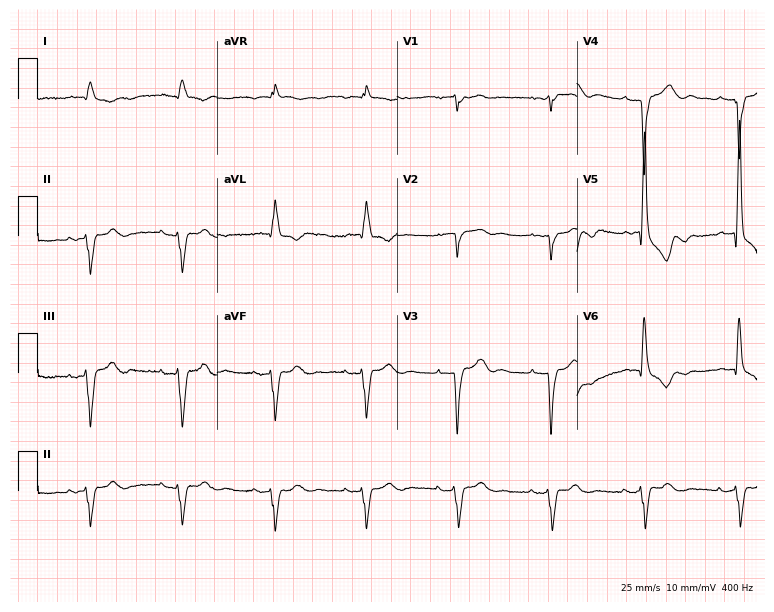
Resting 12-lead electrocardiogram. Patient: a male, 80 years old. None of these six findings is recorded: first-degree AV block, right bundle branch block, left bundle branch block, sinus bradycardia, atrial fibrillation, sinus tachycardia. Findings outside these six are not listed.